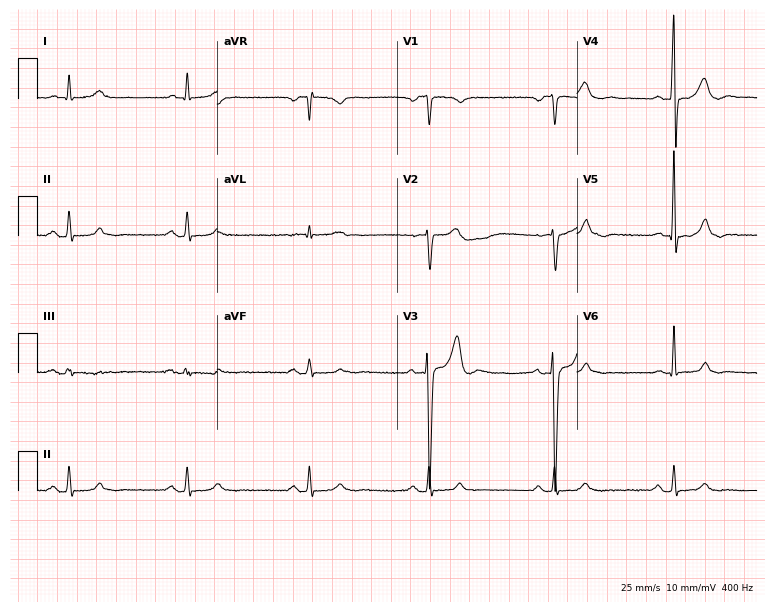
12-lead ECG from a 50-year-old male. Labelled as a normal ECG.